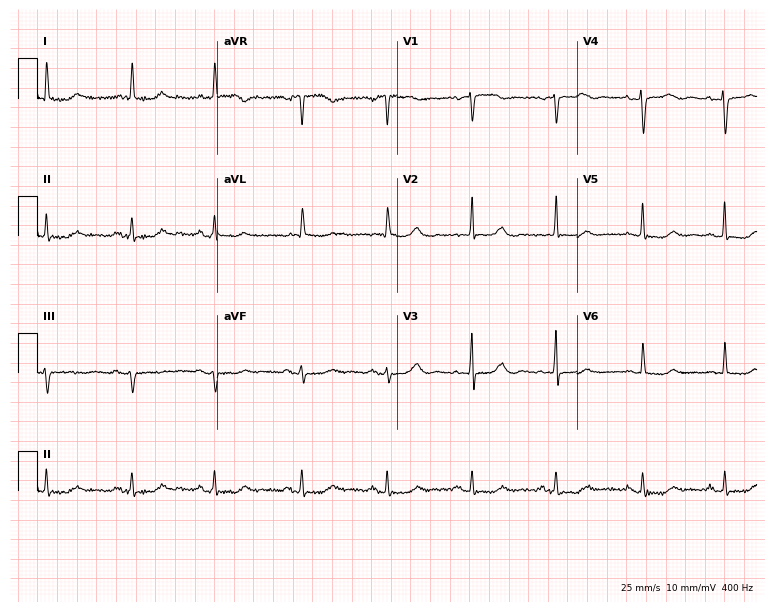
Standard 12-lead ECG recorded from a female patient, 80 years old. None of these six findings is recorded: first-degree AV block, right bundle branch block, left bundle branch block, sinus bradycardia, atrial fibrillation, sinus tachycardia.